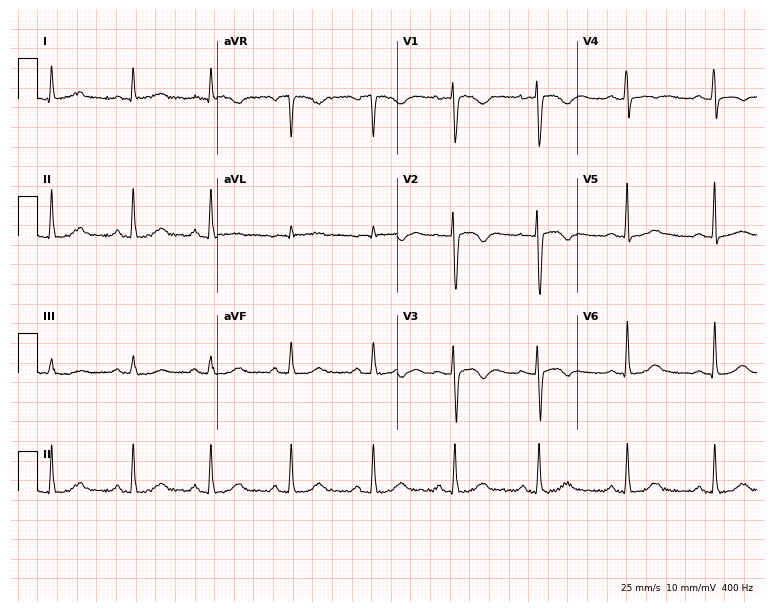
Standard 12-lead ECG recorded from a 38-year-old female (7.3-second recording at 400 Hz). None of these six findings is recorded: first-degree AV block, right bundle branch block, left bundle branch block, sinus bradycardia, atrial fibrillation, sinus tachycardia.